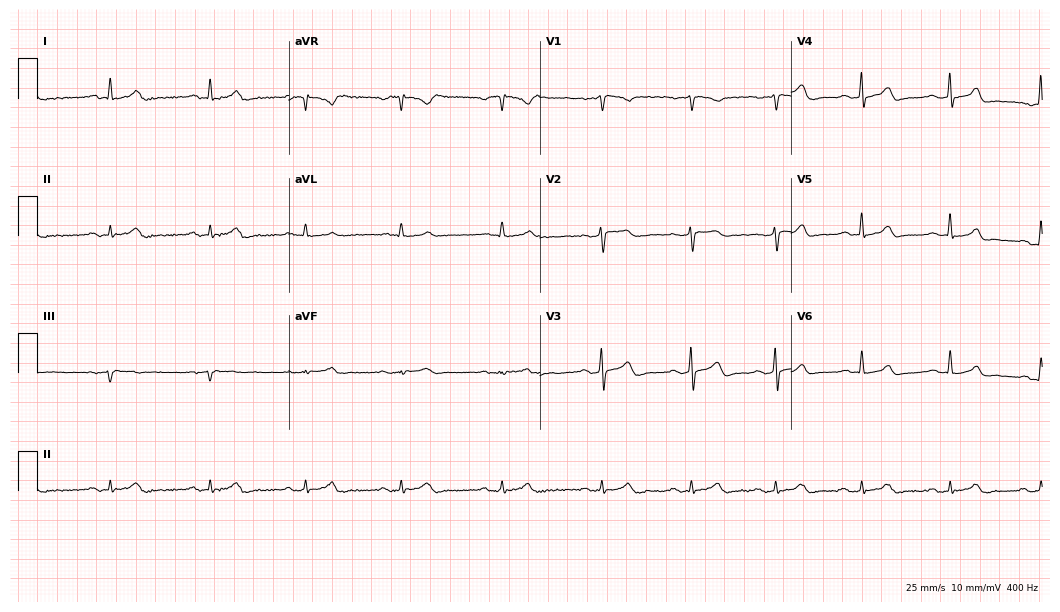
12-lead ECG from a male patient, 63 years old (10.2-second recording at 400 Hz). Recorded interpretation: within normal limits.